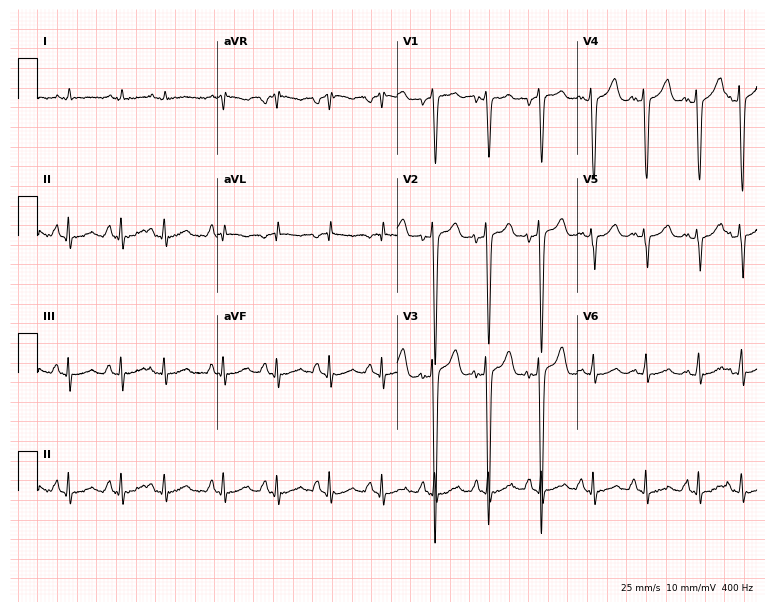
Resting 12-lead electrocardiogram (7.3-second recording at 400 Hz). Patient: a man, 76 years old. The tracing shows sinus tachycardia (a sinus rate of 100 beats per minute or more).